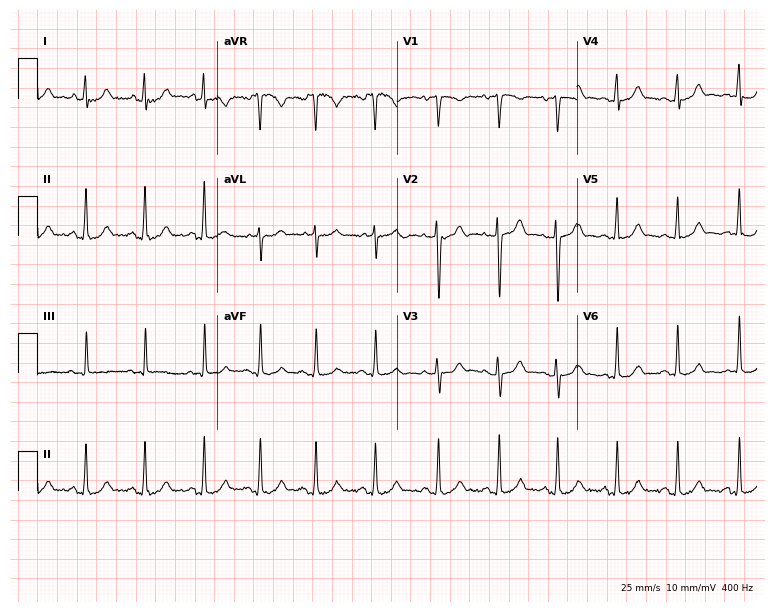
ECG — a 21-year-old female. Screened for six findings — first-degree AV block, right bundle branch block (RBBB), left bundle branch block (LBBB), sinus bradycardia, atrial fibrillation (AF), sinus tachycardia — none is recorded.